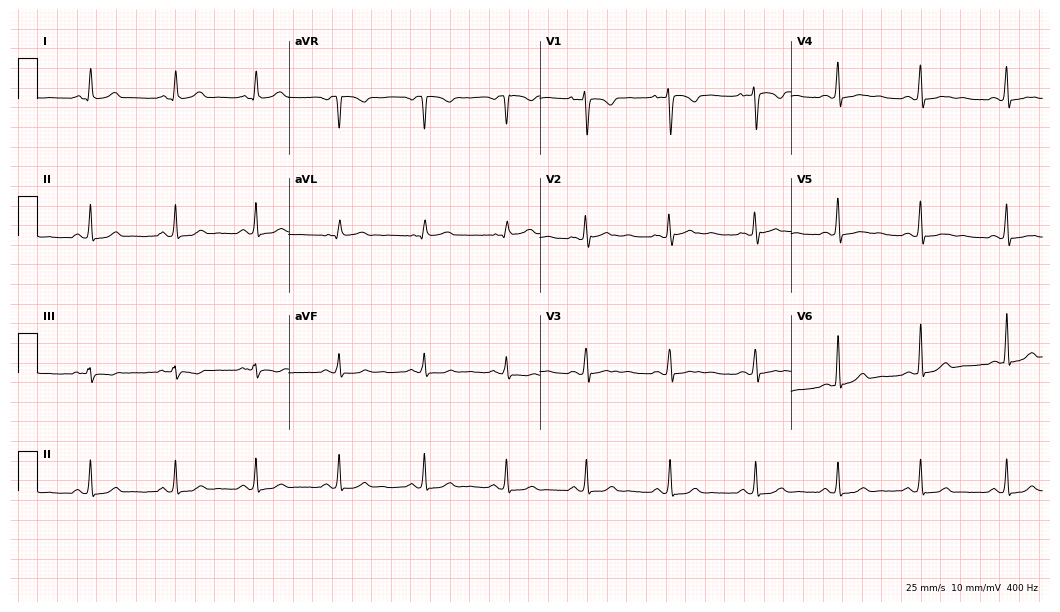
Electrocardiogram (10.2-second recording at 400 Hz), a 30-year-old woman. Of the six screened findings (first-degree AV block, right bundle branch block (RBBB), left bundle branch block (LBBB), sinus bradycardia, atrial fibrillation (AF), sinus tachycardia), none is recorded. Other findings, if any, are not listed.